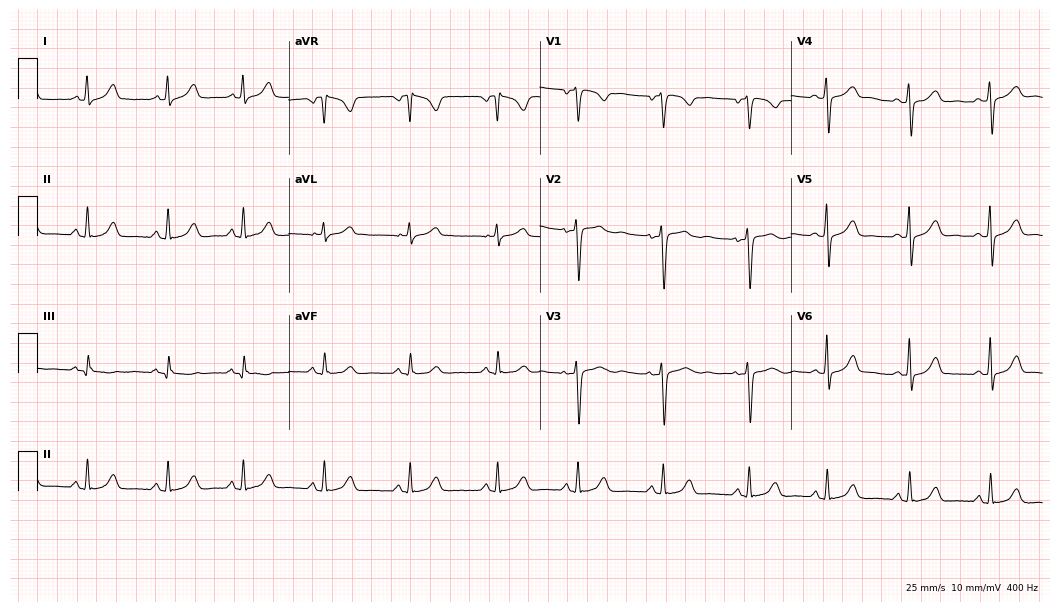
Electrocardiogram (10.2-second recording at 400 Hz), a woman, 31 years old. Overall reading on record: normal ECG.